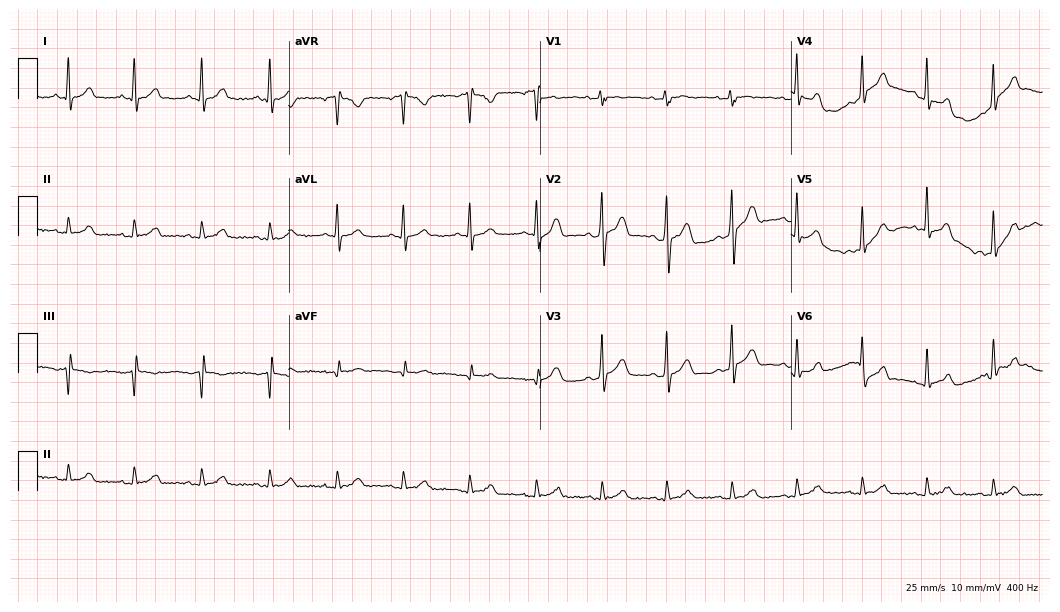
Standard 12-lead ECG recorded from a male, 27 years old. Read as a normal ECG.